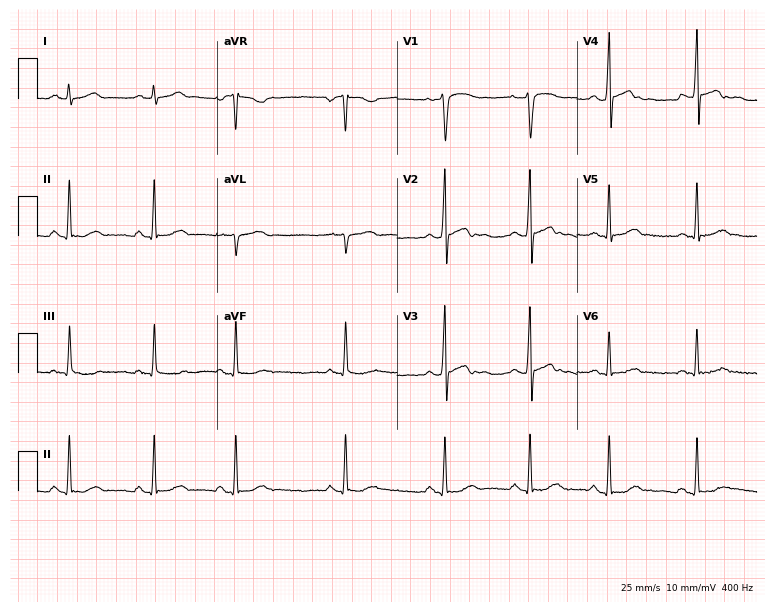
Standard 12-lead ECG recorded from a male, 34 years old (7.3-second recording at 400 Hz). None of these six findings is recorded: first-degree AV block, right bundle branch block, left bundle branch block, sinus bradycardia, atrial fibrillation, sinus tachycardia.